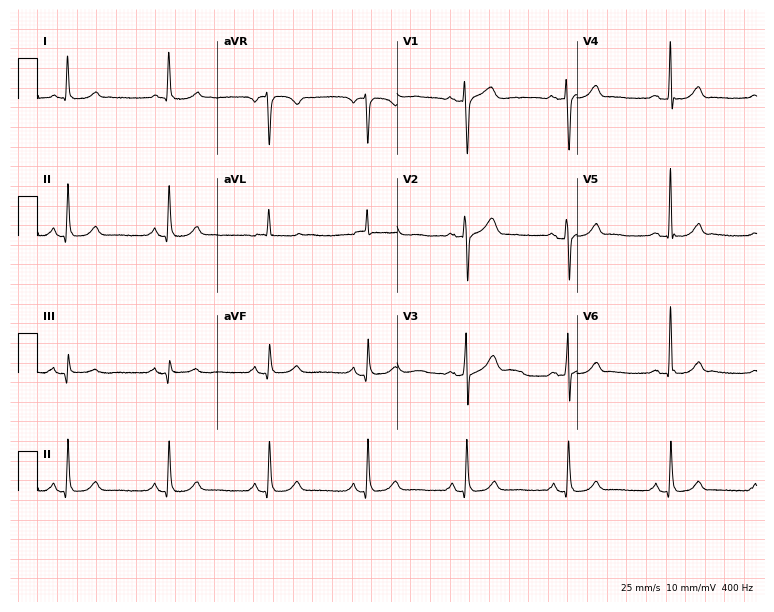
Electrocardiogram, a woman, 57 years old. Overall reading on record: normal ECG.